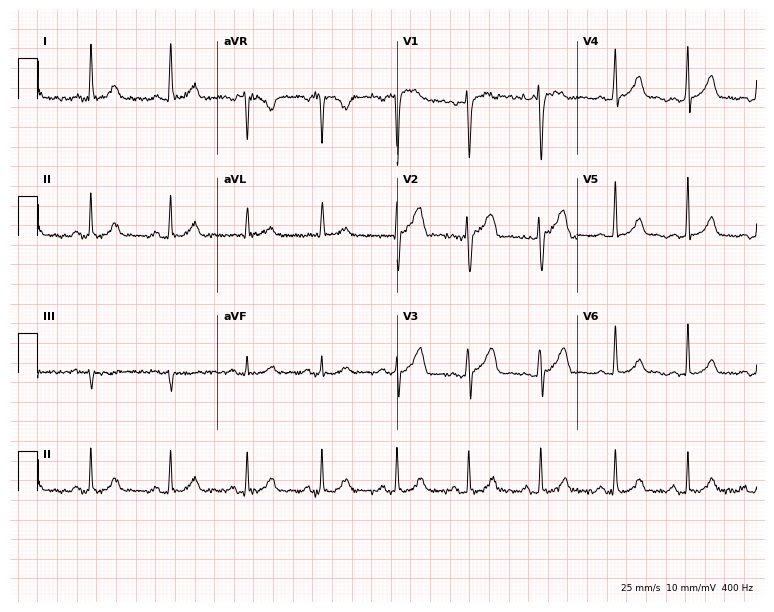
Resting 12-lead electrocardiogram. Patient: a 35-year-old male. None of these six findings is recorded: first-degree AV block, right bundle branch block, left bundle branch block, sinus bradycardia, atrial fibrillation, sinus tachycardia. Only these six findings were labelled.